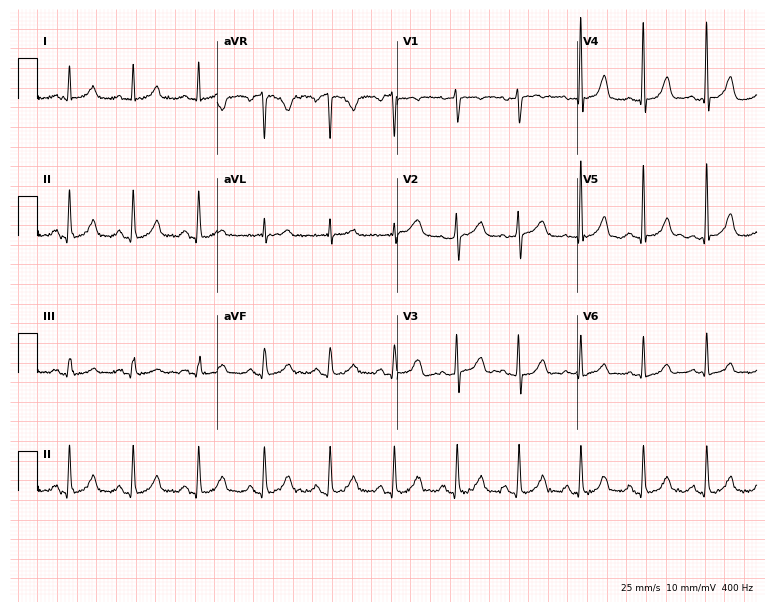
ECG — a female patient, 45 years old. Screened for six findings — first-degree AV block, right bundle branch block (RBBB), left bundle branch block (LBBB), sinus bradycardia, atrial fibrillation (AF), sinus tachycardia — none is recorded. Other findings, if any, are not listed.